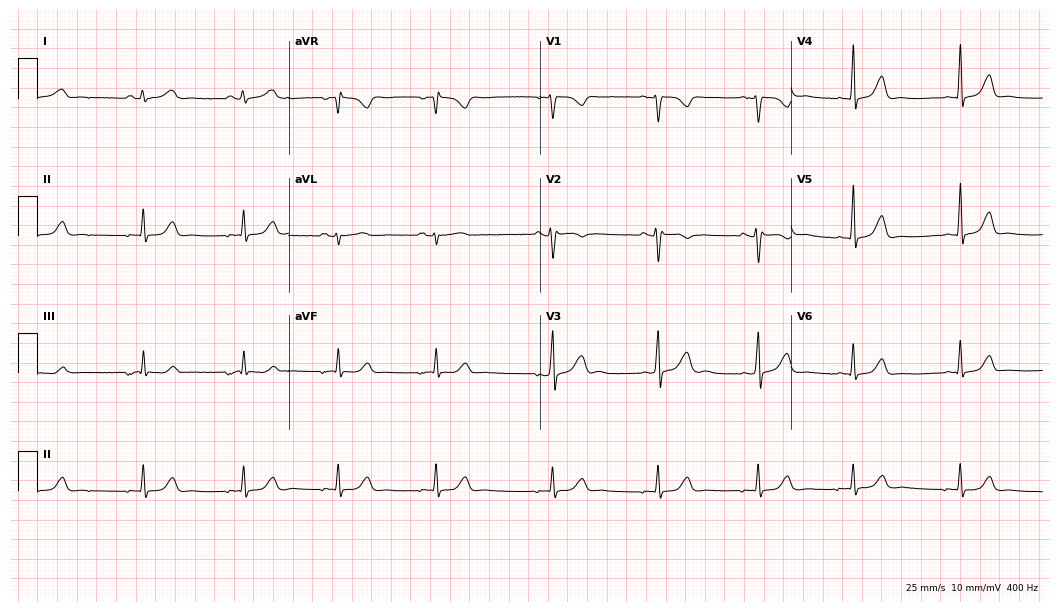
ECG — a woman, 21 years old. Screened for six findings — first-degree AV block, right bundle branch block (RBBB), left bundle branch block (LBBB), sinus bradycardia, atrial fibrillation (AF), sinus tachycardia — none is recorded.